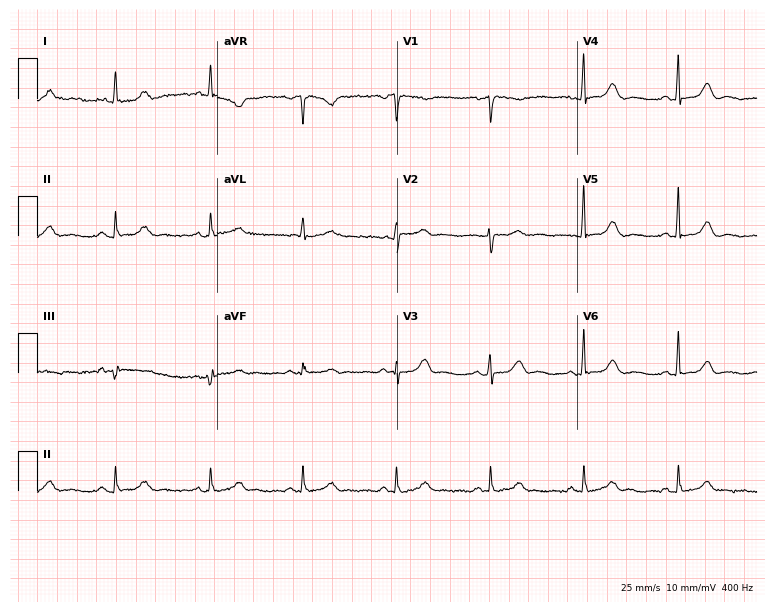
Resting 12-lead electrocardiogram. Patient: a 68-year-old woman. Read as a normal ECG.